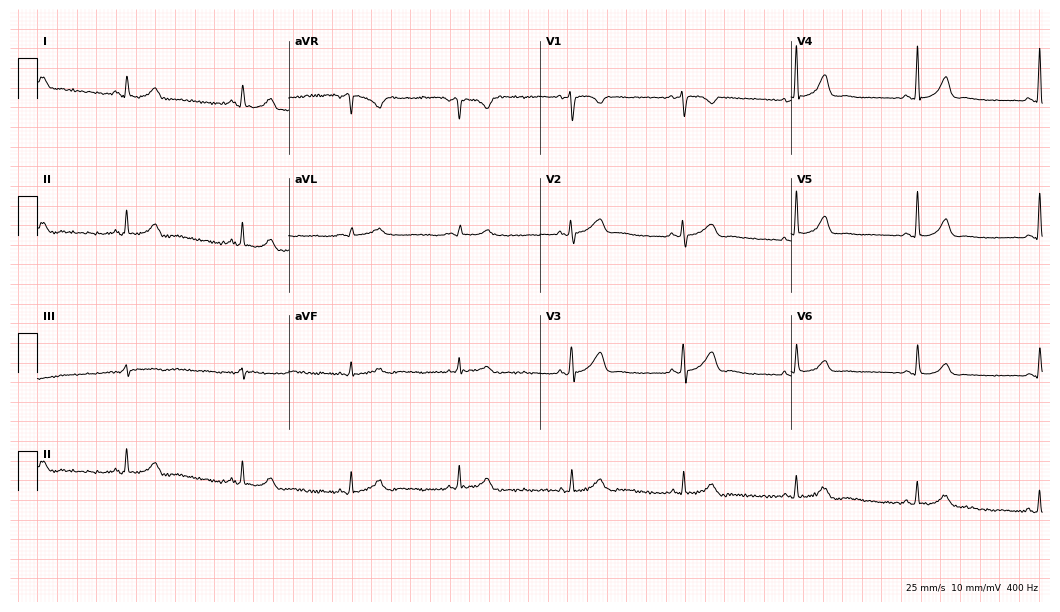
Standard 12-lead ECG recorded from a female, 33 years old. None of these six findings is recorded: first-degree AV block, right bundle branch block, left bundle branch block, sinus bradycardia, atrial fibrillation, sinus tachycardia. Findings outside these six are not listed.